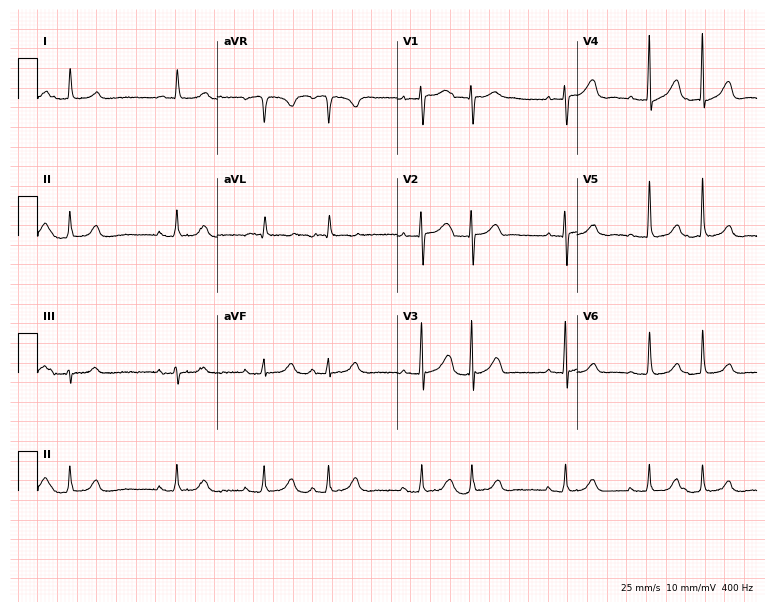
12-lead ECG from a woman, 84 years old. No first-degree AV block, right bundle branch block, left bundle branch block, sinus bradycardia, atrial fibrillation or sinus tachycardia recorded for this tracing.